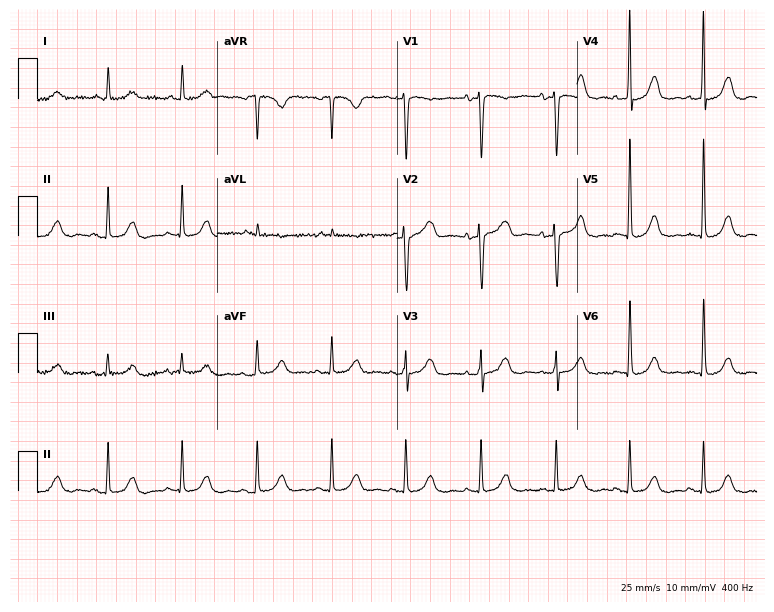
12-lead ECG from an 83-year-old woman (7.3-second recording at 400 Hz). No first-degree AV block, right bundle branch block, left bundle branch block, sinus bradycardia, atrial fibrillation or sinus tachycardia recorded for this tracing. Findings outside these six are not listed.